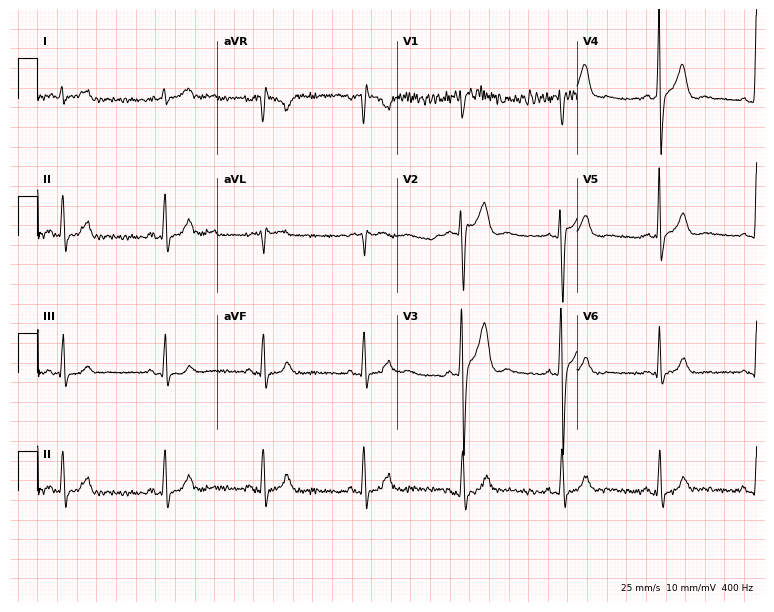
Standard 12-lead ECG recorded from a male patient, 49 years old. None of these six findings is recorded: first-degree AV block, right bundle branch block, left bundle branch block, sinus bradycardia, atrial fibrillation, sinus tachycardia.